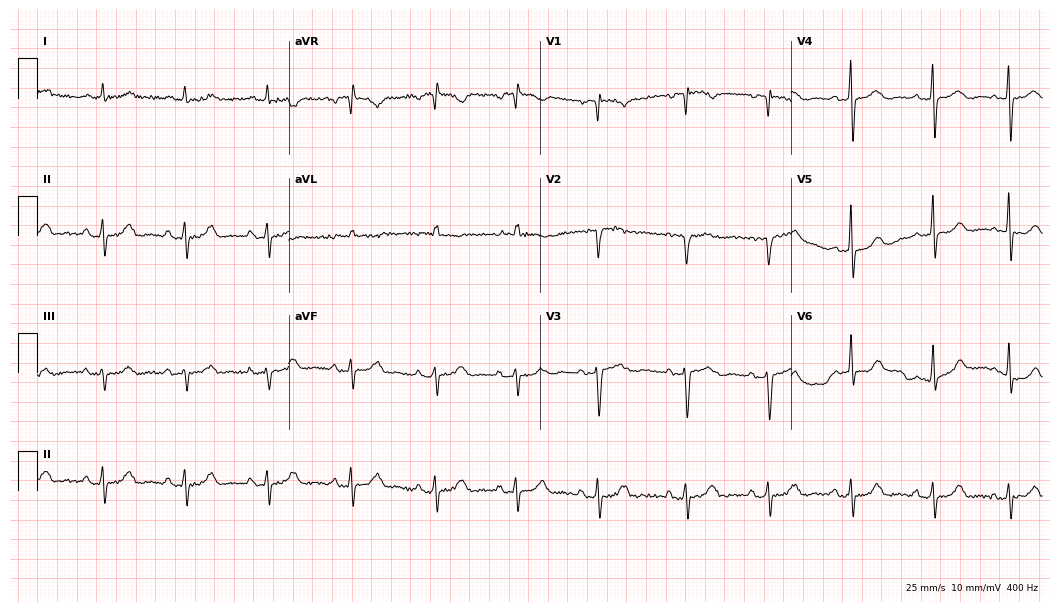
12-lead ECG from a female, 76 years old. Screened for six findings — first-degree AV block, right bundle branch block, left bundle branch block, sinus bradycardia, atrial fibrillation, sinus tachycardia — none is recorded. Other findings, if any, are not listed.